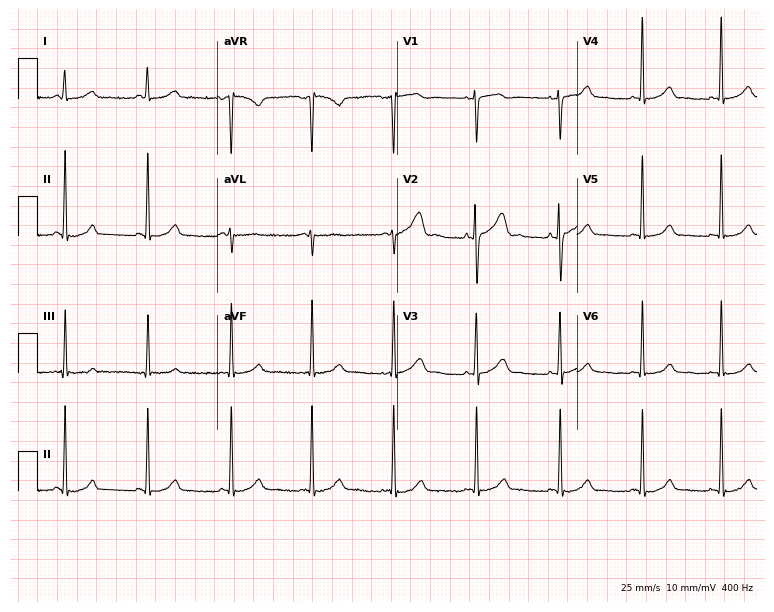
Standard 12-lead ECG recorded from a female, 36 years old (7.3-second recording at 400 Hz). None of these six findings is recorded: first-degree AV block, right bundle branch block, left bundle branch block, sinus bradycardia, atrial fibrillation, sinus tachycardia.